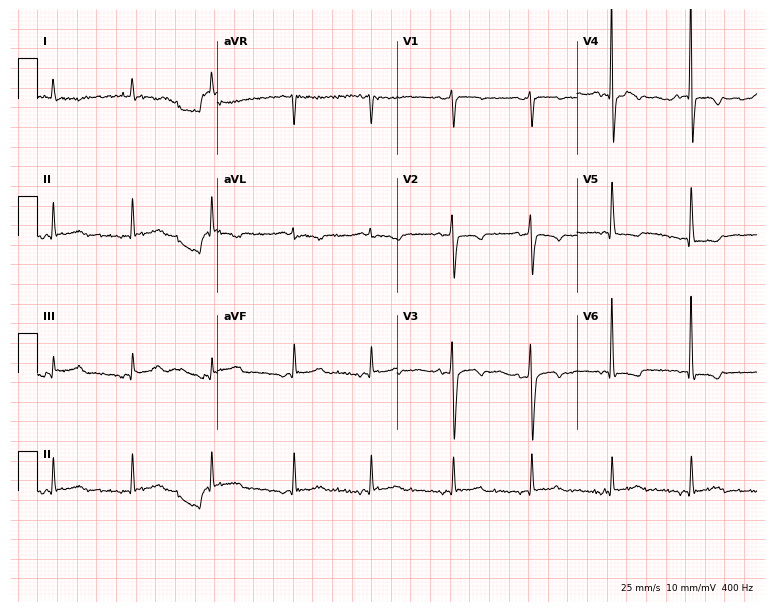
Standard 12-lead ECG recorded from a 74-year-old male patient (7.3-second recording at 400 Hz). None of these six findings is recorded: first-degree AV block, right bundle branch block, left bundle branch block, sinus bradycardia, atrial fibrillation, sinus tachycardia.